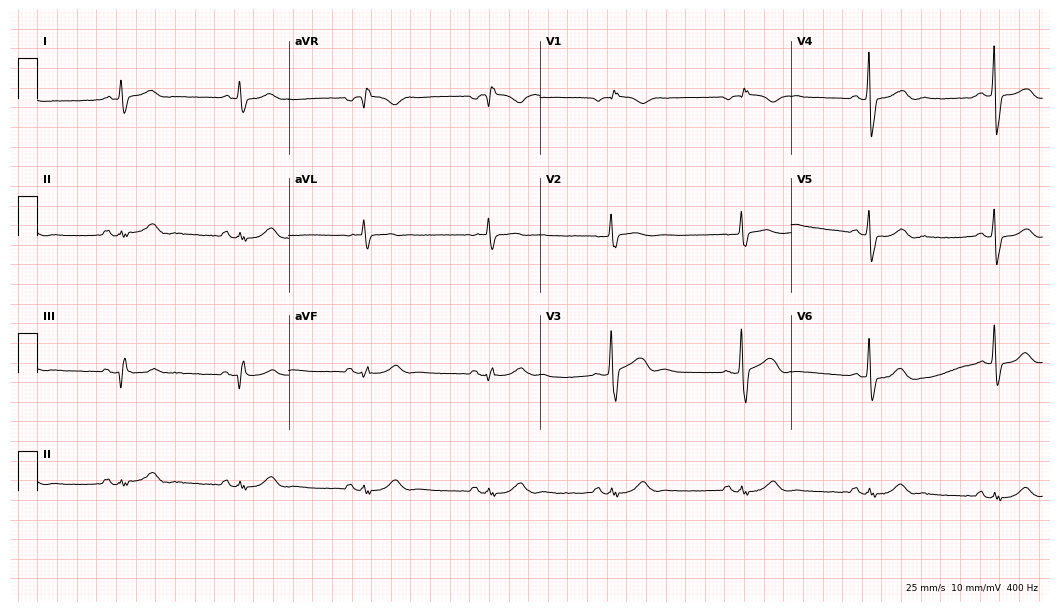
Electrocardiogram, a 59-year-old man. Interpretation includes right bundle branch block, sinus bradycardia (a sinus rate of 50 beats per minute or less).